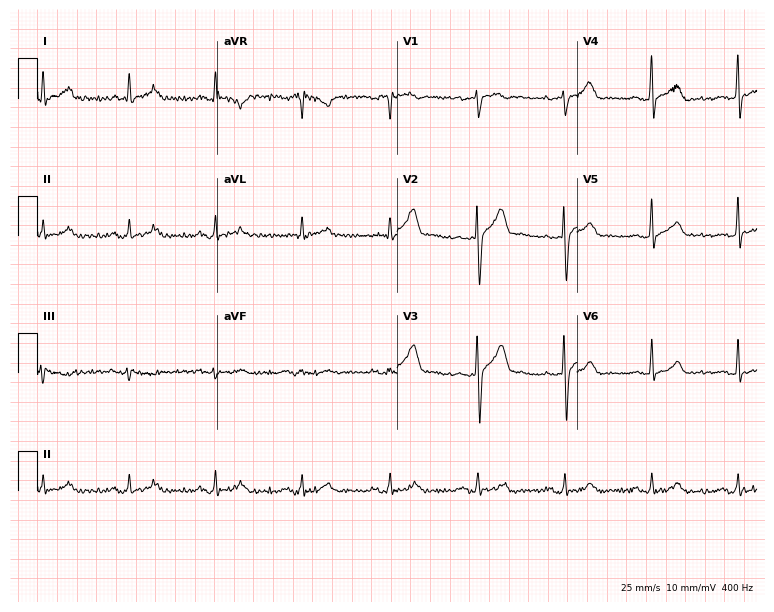
Electrocardiogram (7.3-second recording at 400 Hz), a man, 40 years old. Overall reading on record: normal ECG.